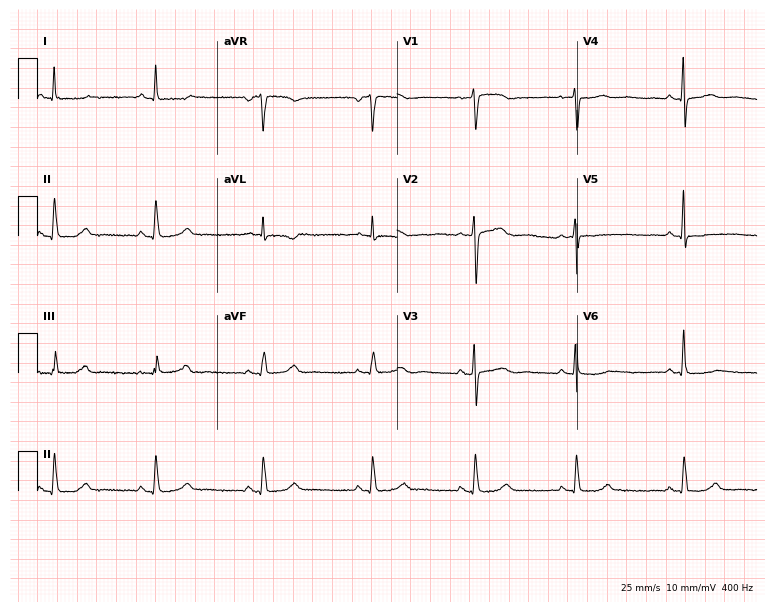
12-lead ECG from a female patient, 58 years old. Recorded interpretation: within normal limits.